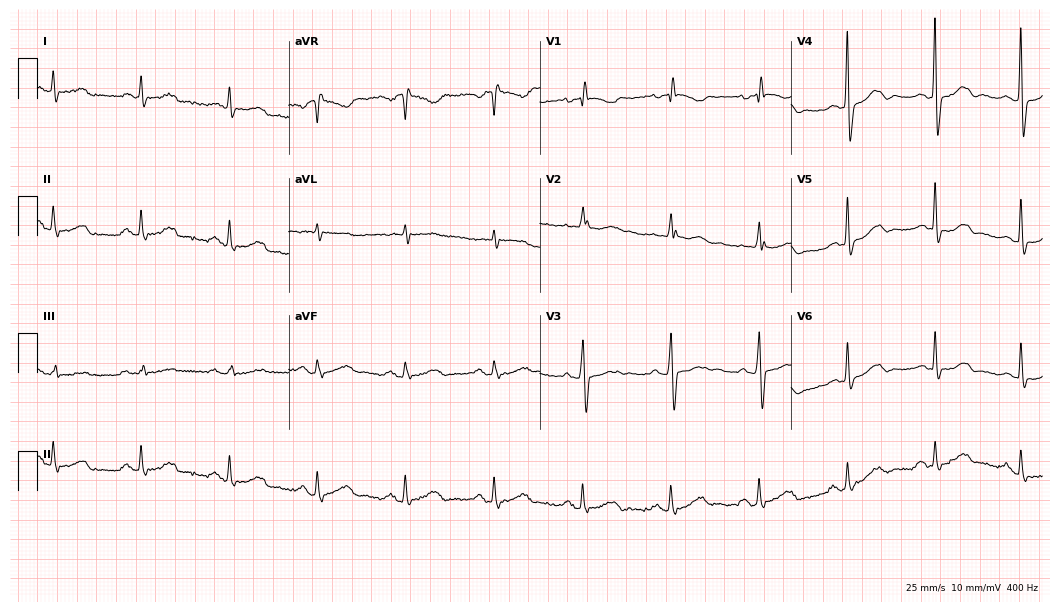
Standard 12-lead ECG recorded from an 83-year-old male patient. None of these six findings is recorded: first-degree AV block, right bundle branch block (RBBB), left bundle branch block (LBBB), sinus bradycardia, atrial fibrillation (AF), sinus tachycardia.